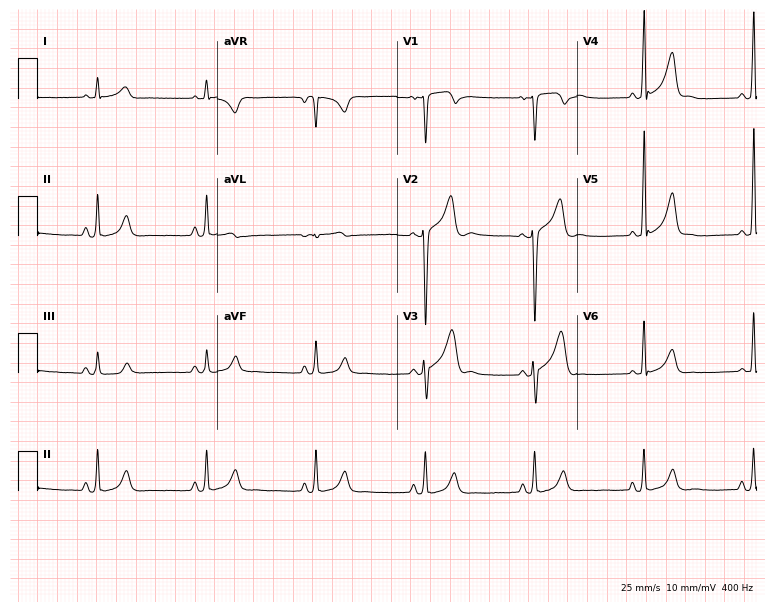
12-lead ECG from a man, 19 years old. Screened for six findings — first-degree AV block, right bundle branch block, left bundle branch block, sinus bradycardia, atrial fibrillation, sinus tachycardia — none is recorded. Only these six findings were labelled.